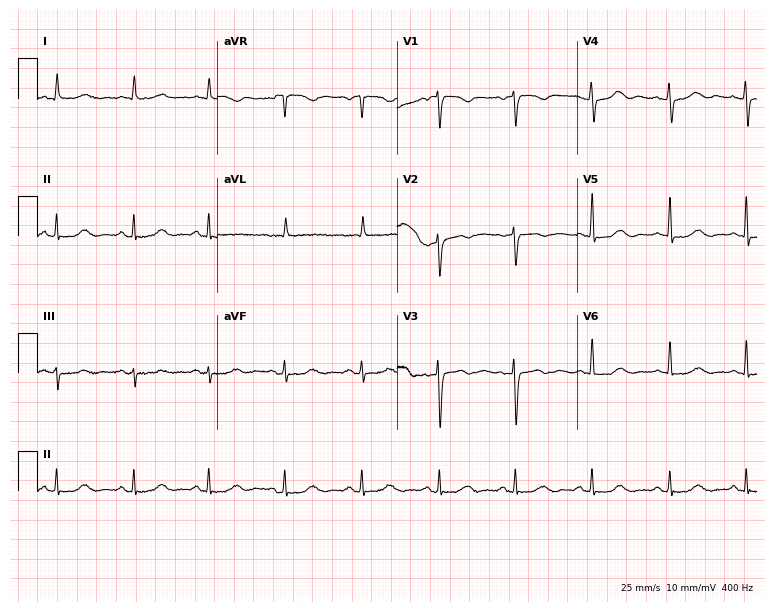
12-lead ECG (7.3-second recording at 400 Hz) from a female patient, 71 years old. Labelled as a normal ECG.